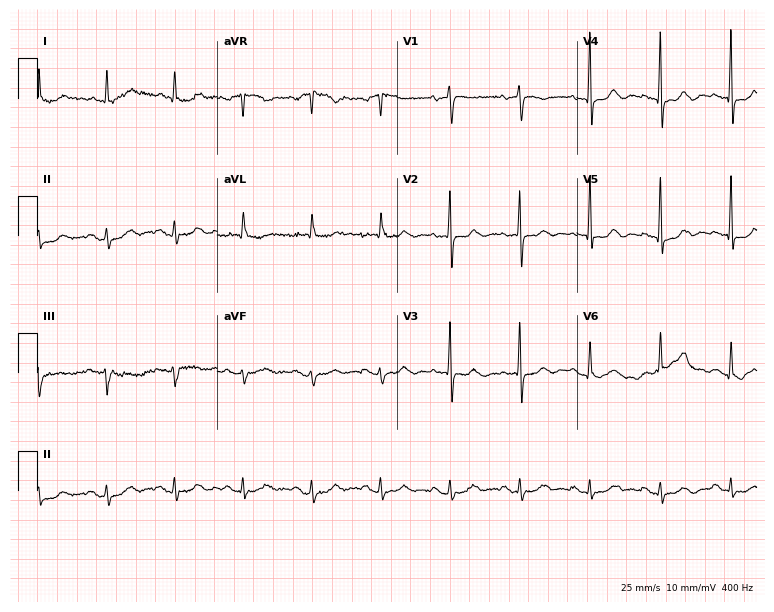
Electrocardiogram, a female patient, 86 years old. Overall reading on record: normal ECG.